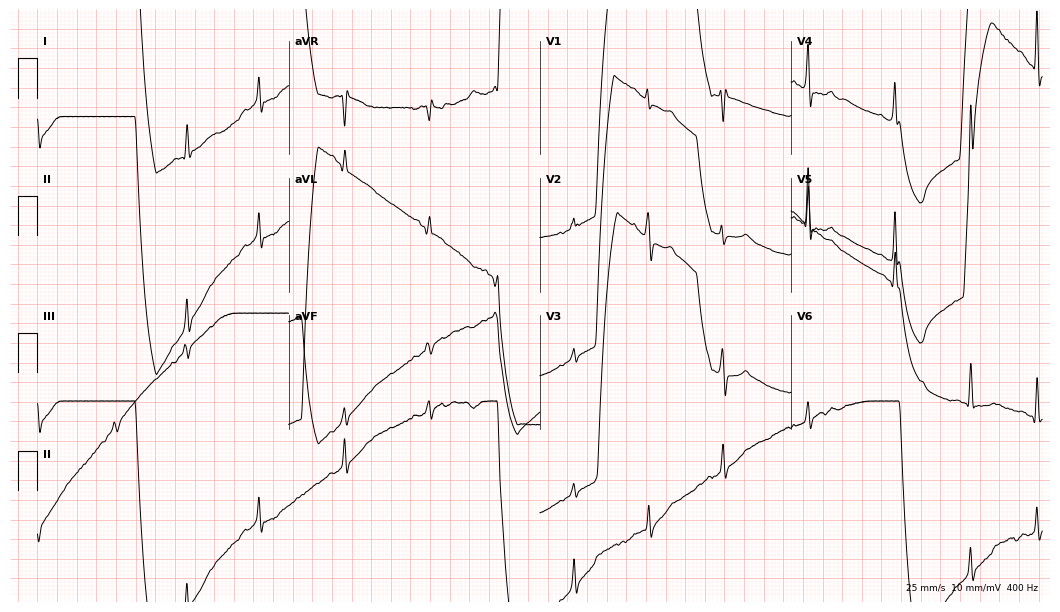
Electrocardiogram, a man, 70 years old. Of the six screened findings (first-degree AV block, right bundle branch block, left bundle branch block, sinus bradycardia, atrial fibrillation, sinus tachycardia), none is recorded.